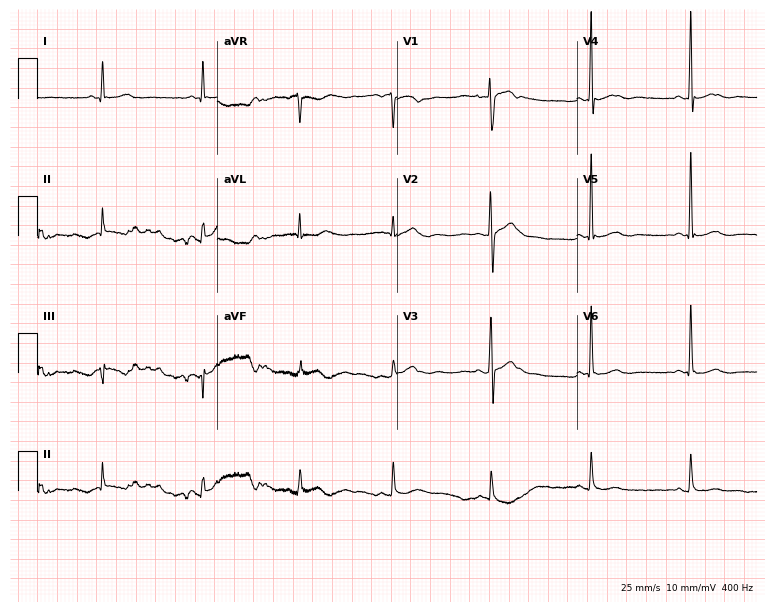
12-lead ECG from an 18-year-old male. No first-degree AV block, right bundle branch block (RBBB), left bundle branch block (LBBB), sinus bradycardia, atrial fibrillation (AF) or sinus tachycardia recorded for this tracing. Only these six findings were labelled.